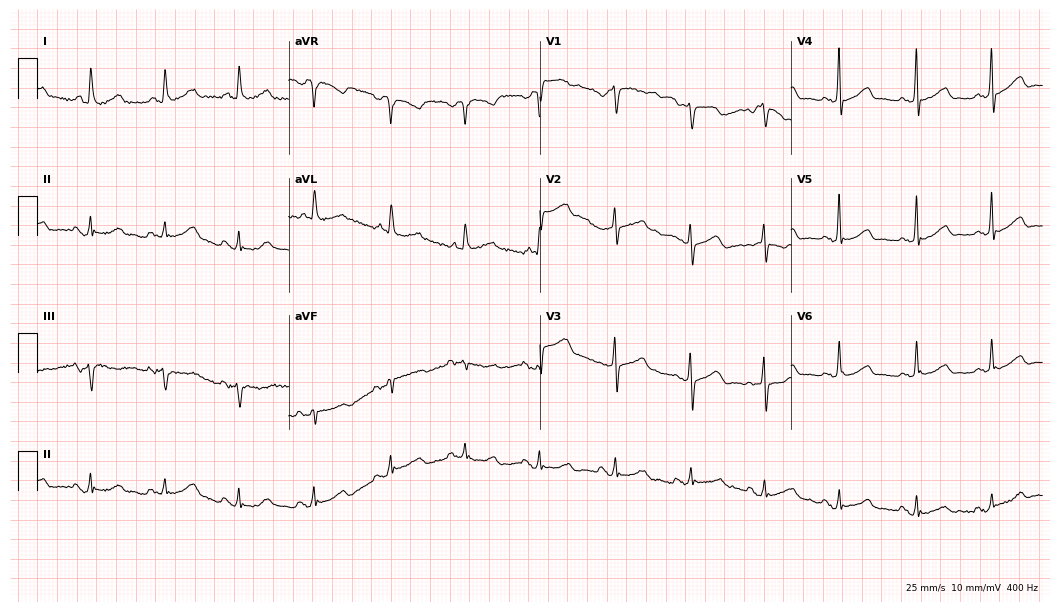
Electrocardiogram, a 79-year-old female. Overall reading on record: normal ECG.